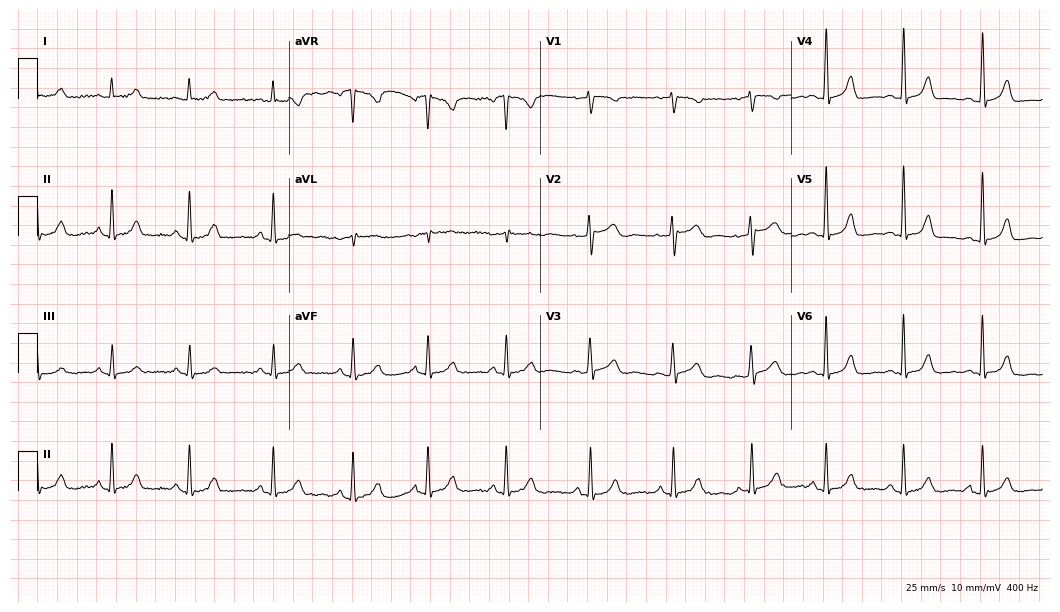
Electrocardiogram, a 79-year-old woman. Overall reading on record: normal ECG.